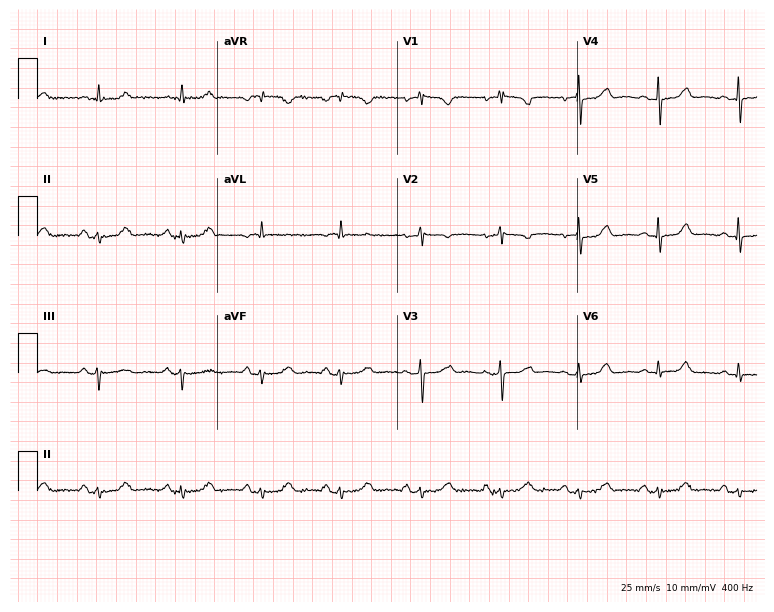
Standard 12-lead ECG recorded from a 71-year-old female patient (7.3-second recording at 400 Hz). None of these six findings is recorded: first-degree AV block, right bundle branch block, left bundle branch block, sinus bradycardia, atrial fibrillation, sinus tachycardia. Only these six findings were labelled.